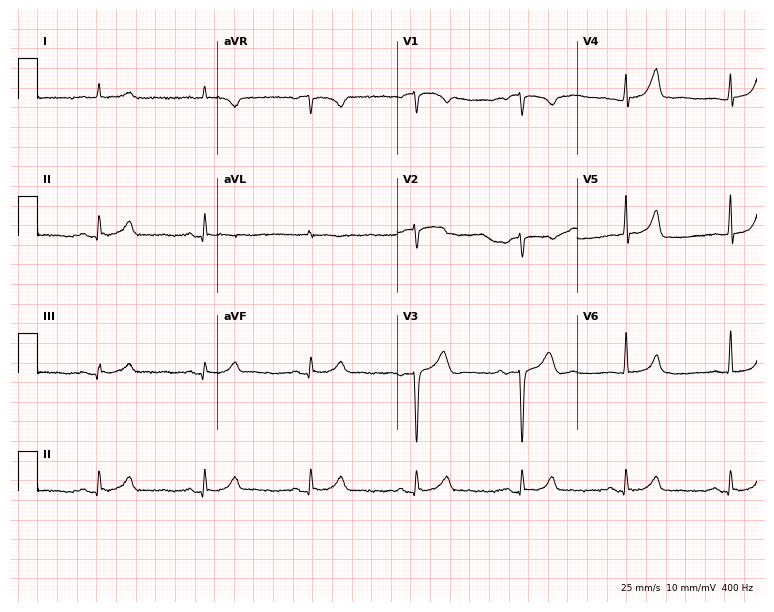
ECG — a 79-year-old man. Screened for six findings — first-degree AV block, right bundle branch block, left bundle branch block, sinus bradycardia, atrial fibrillation, sinus tachycardia — none is recorded.